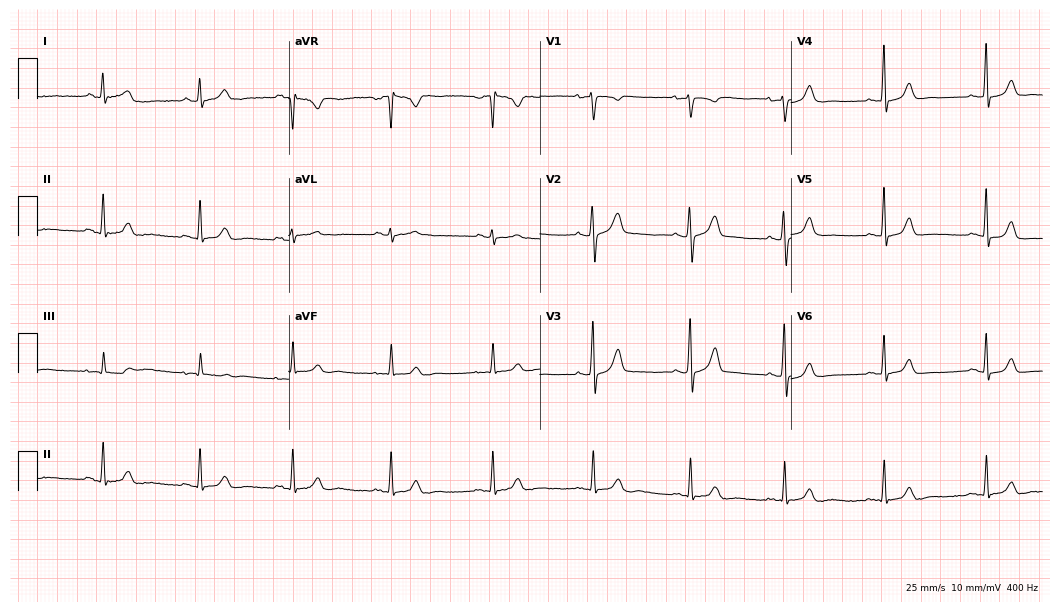
Standard 12-lead ECG recorded from a 30-year-old female (10.2-second recording at 400 Hz). None of these six findings is recorded: first-degree AV block, right bundle branch block, left bundle branch block, sinus bradycardia, atrial fibrillation, sinus tachycardia.